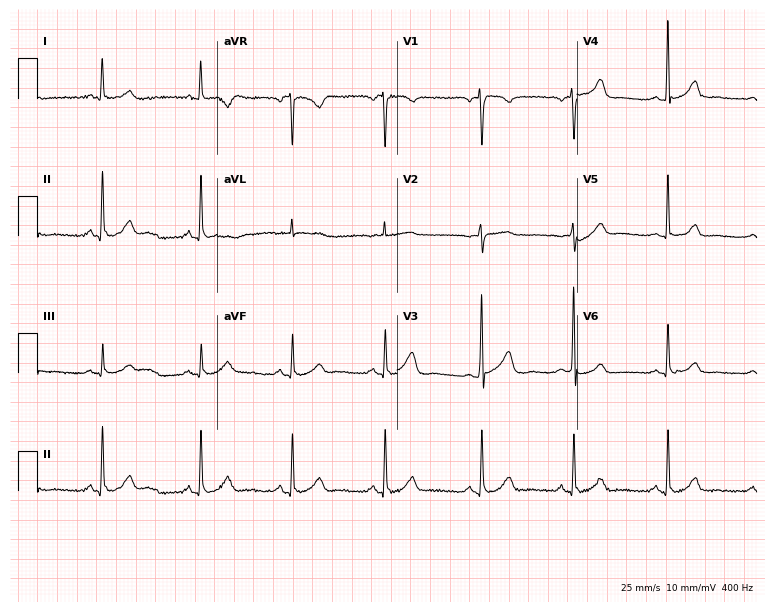
Electrocardiogram (7.3-second recording at 400 Hz), a 58-year-old female. Overall reading on record: normal ECG.